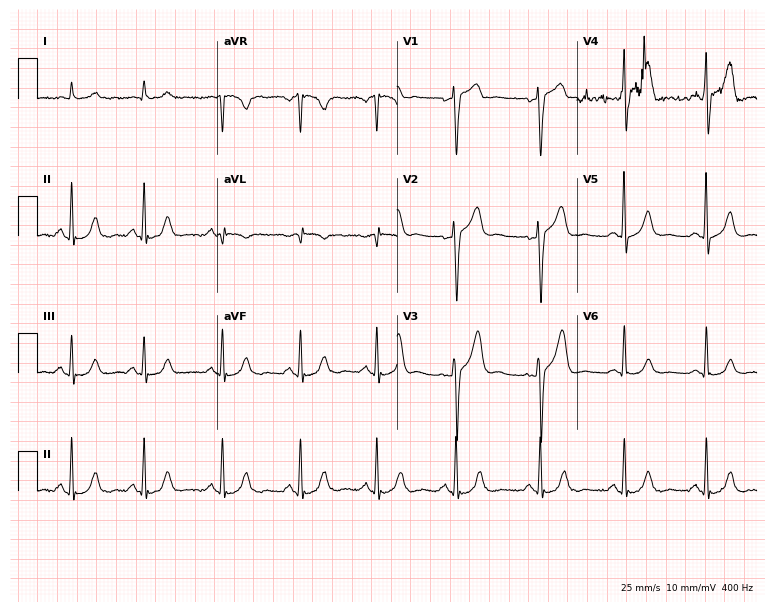
Electrocardiogram (7.3-second recording at 400 Hz), a 66-year-old male. Of the six screened findings (first-degree AV block, right bundle branch block, left bundle branch block, sinus bradycardia, atrial fibrillation, sinus tachycardia), none is recorded.